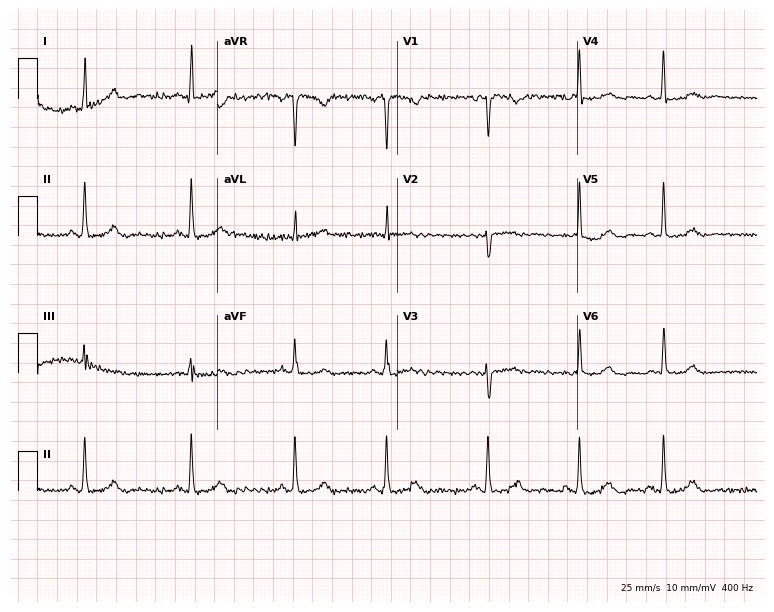
12-lead ECG from a female patient, 36 years old. Screened for six findings — first-degree AV block, right bundle branch block (RBBB), left bundle branch block (LBBB), sinus bradycardia, atrial fibrillation (AF), sinus tachycardia — none is recorded.